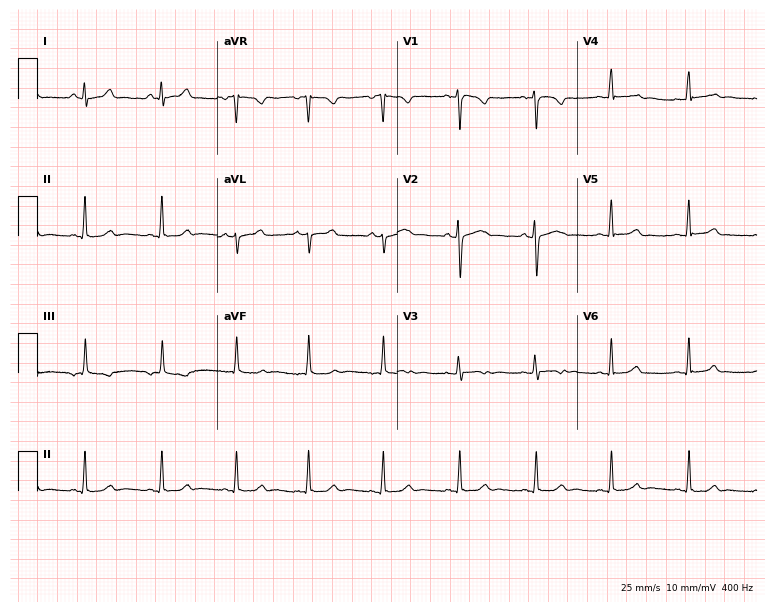
ECG — a woman, 18 years old. Labelled as a normal ECG.